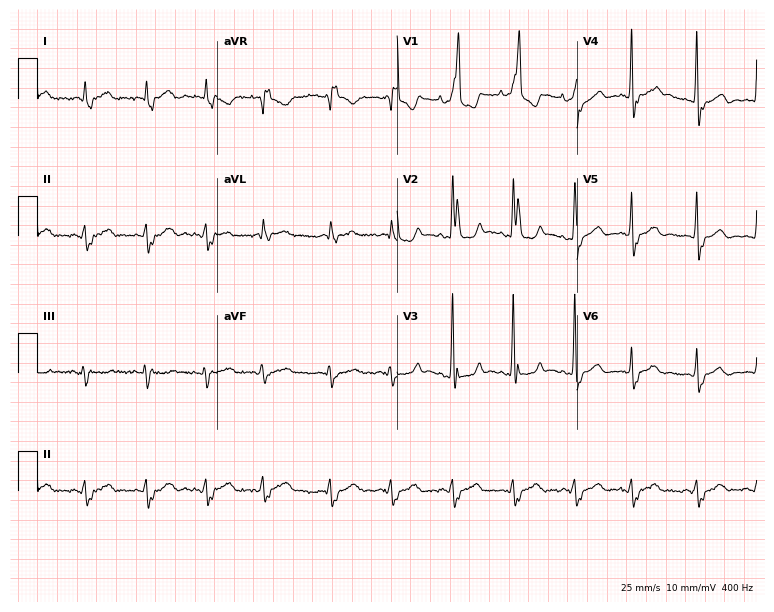
Standard 12-lead ECG recorded from a male, 85 years old (7.3-second recording at 400 Hz). None of these six findings is recorded: first-degree AV block, right bundle branch block, left bundle branch block, sinus bradycardia, atrial fibrillation, sinus tachycardia. Findings outside these six are not listed.